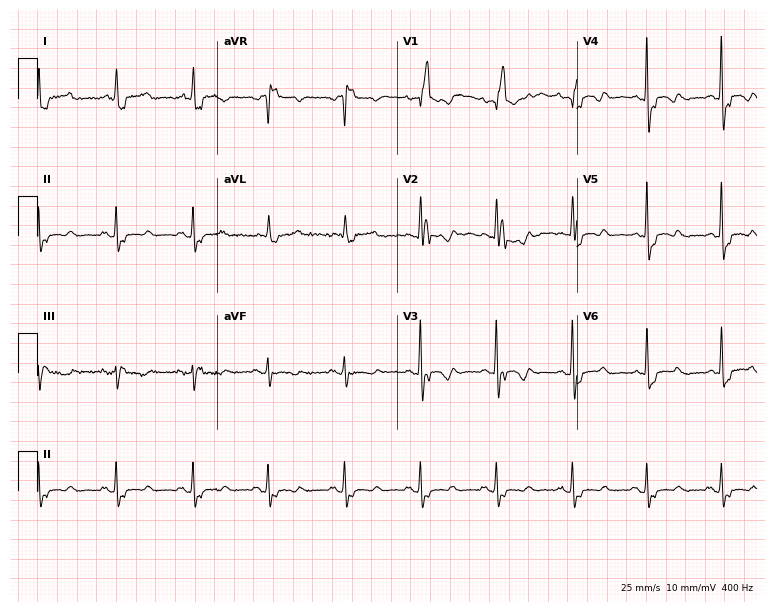
ECG (7.3-second recording at 400 Hz) — a woman, 74 years old. Findings include right bundle branch block.